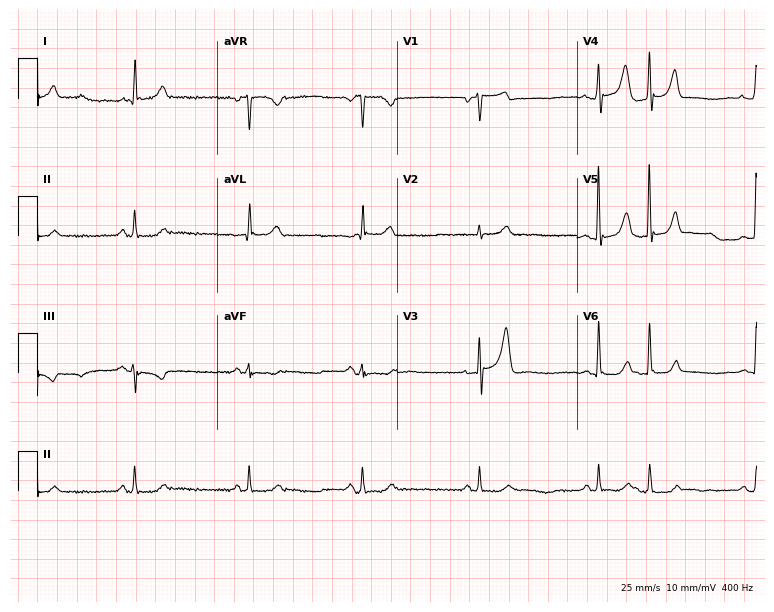
Standard 12-lead ECG recorded from a male patient, 67 years old. Read as a normal ECG.